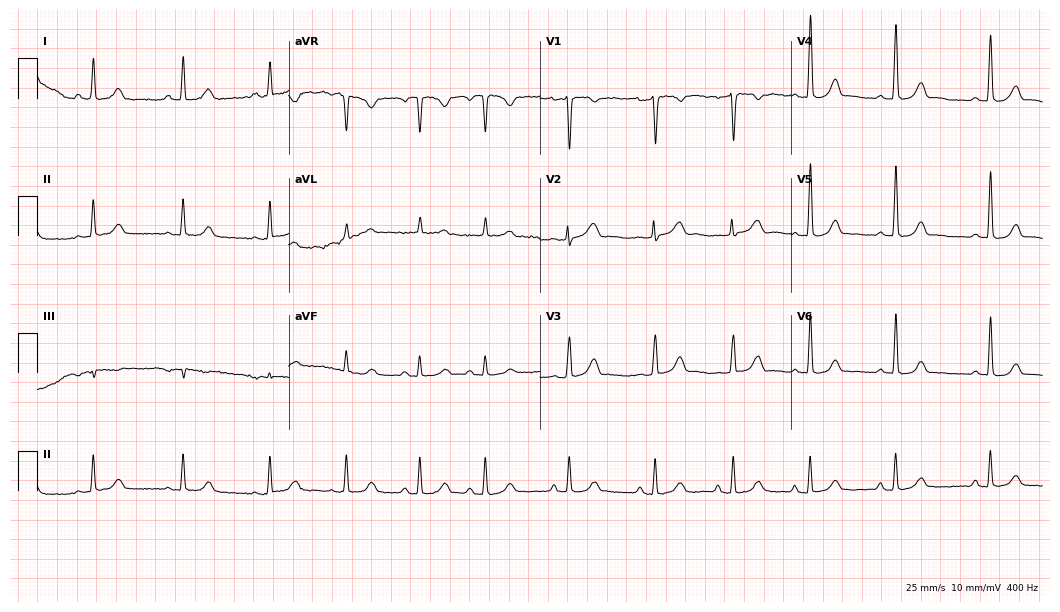
Electrocardiogram, a 41-year-old woman. Overall reading on record: normal ECG.